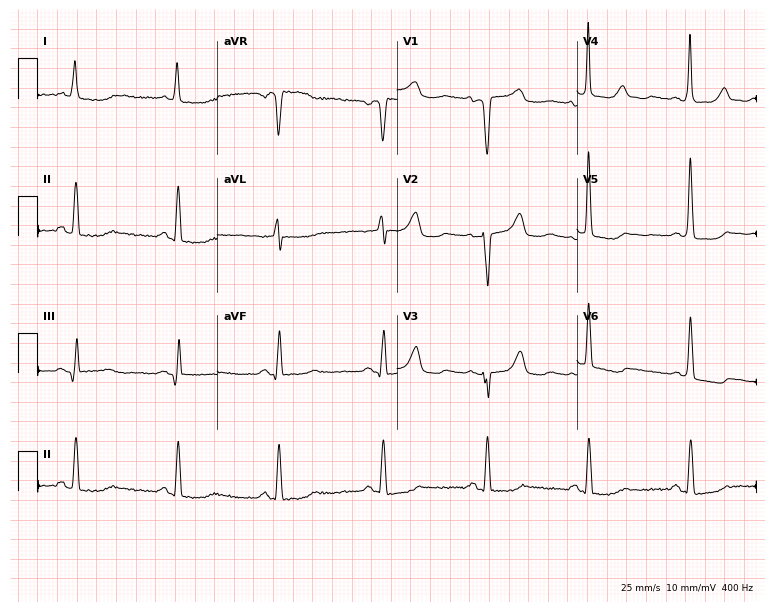
Electrocardiogram (7.3-second recording at 400 Hz), an 82-year-old female. Of the six screened findings (first-degree AV block, right bundle branch block (RBBB), left bundle branch block (LBBB), sinus bradycardia, atrial fibrillation (AF), sinus tachycardia), none is recorded.